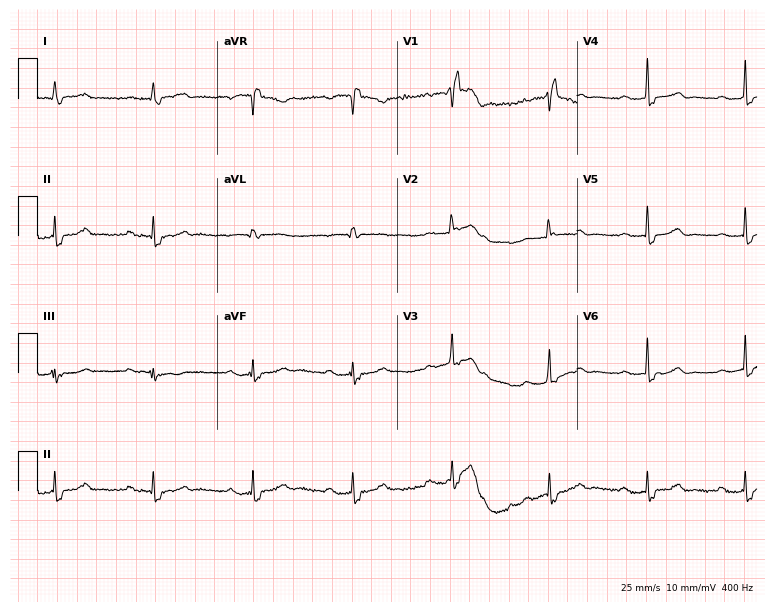
Resting 12-lead electrocardiogram. Patient: a female, 67 years old. The tracing shows first-degree AV block, right bundle branch block.